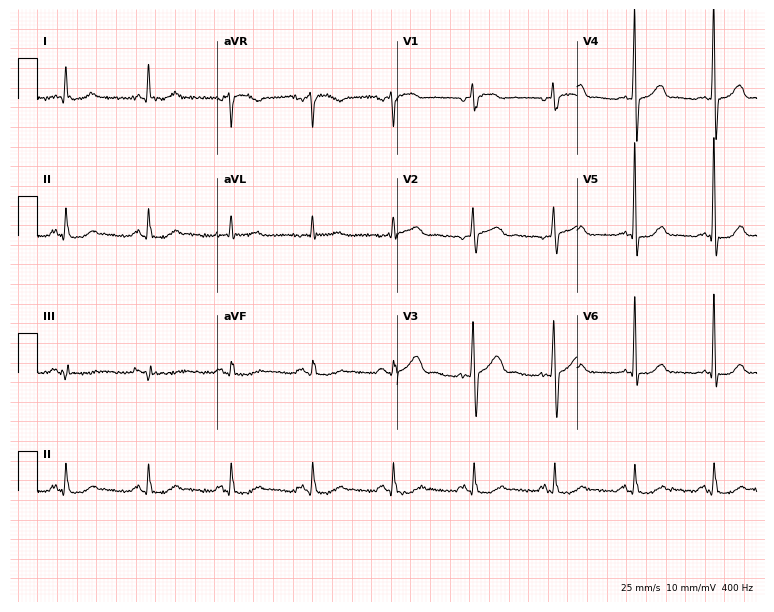
Resting 12-lead electrocardiogram. Patient: a 50-year-old male. Read as a normal ECG.